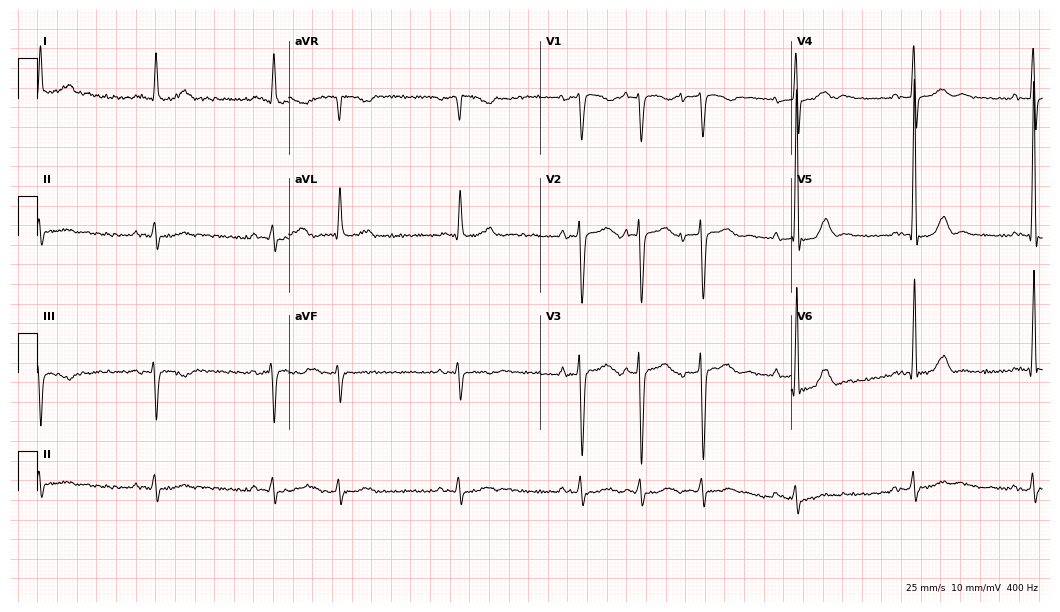
ECG (10.2-second recording at 400 Hz) — an 80-year-old man. Screened for six findings — first-degree AV block, right bundle branch block, left bundle branch block, sinus bradycardia, atrial fibrillation, sinus tachycardia — none is recorded. Only these six findings were labelled.